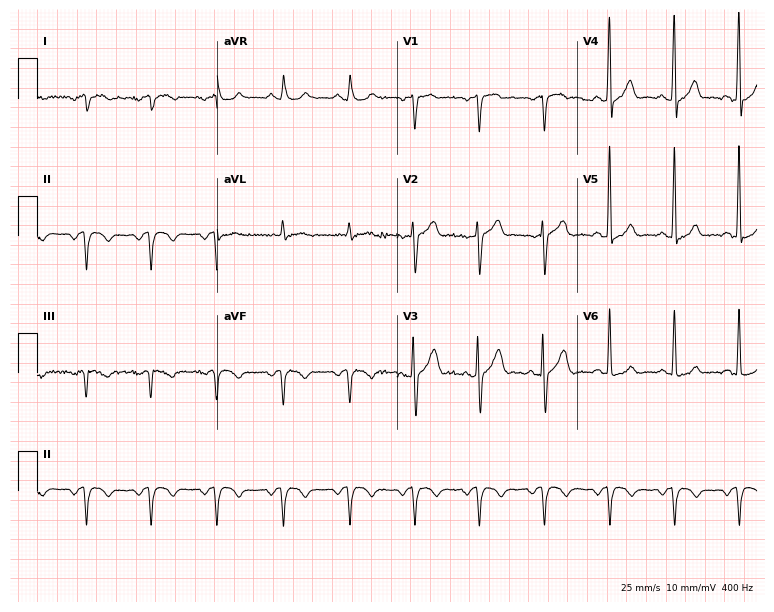
12-lead ECG from a male patient, 72 years old (7.3-second recording at 400 Hz). No first-degree AV block, right bundle branch block, left bundle branch block, sinus bradycardia, atrial fibrillation or sinus tachycardia recorded for this tracing. Only these six findings were labelled.